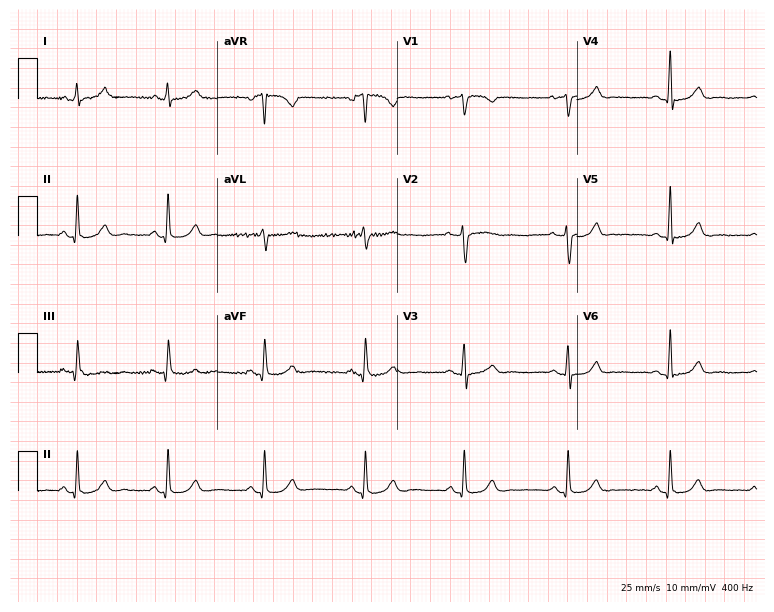
Standard 12-lead ECG recorded from a 30-year-old woman. Read as a normal ECG.